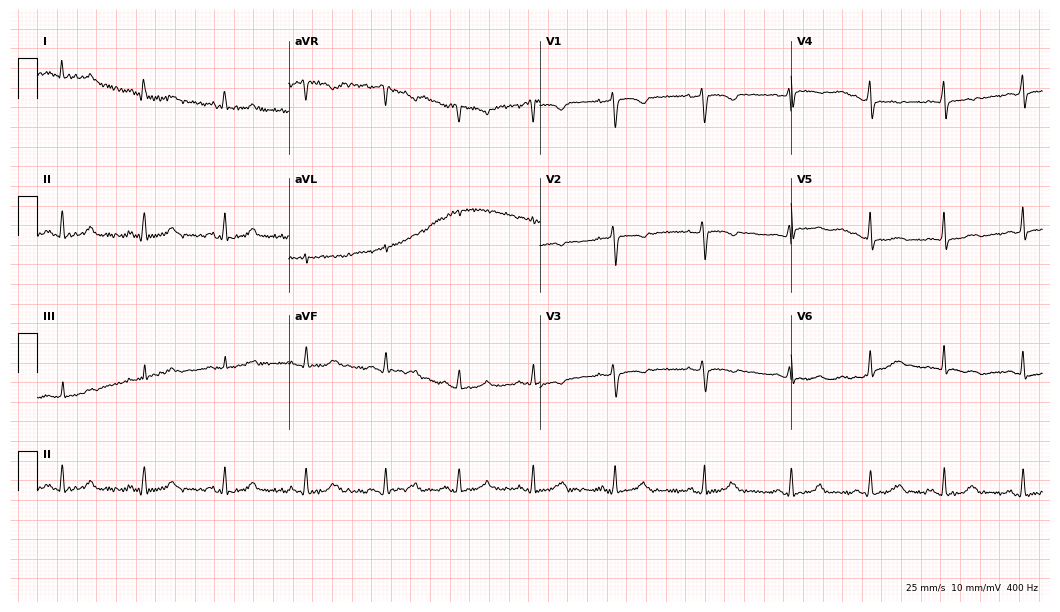
Resting 12-lead electrocardiogram. Patient: a 51-year-old female. None of these six findings is recorded: first-degree AV block, right bundle branch block (RBBB), left bundle branch block (LBBB), sinus bradycardia, atrial fibrillation (AF), sinus tachycardia. Other findings, if any, are not listed.